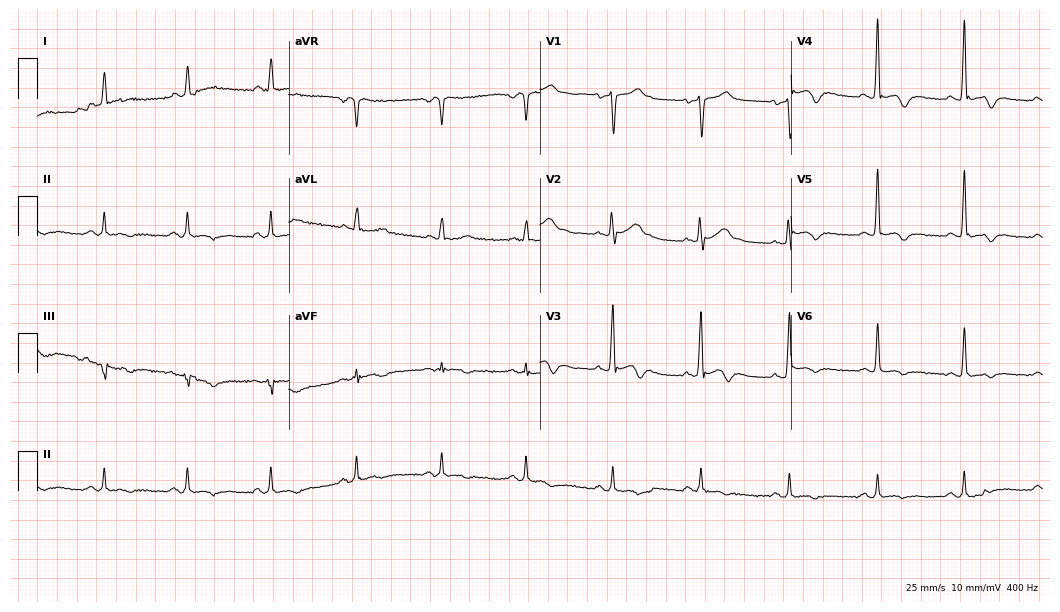
Standard 12-lead ECG recorded from a male, 57 years old (10.2-second recording at 400 Hz). Read as a normal ECG.